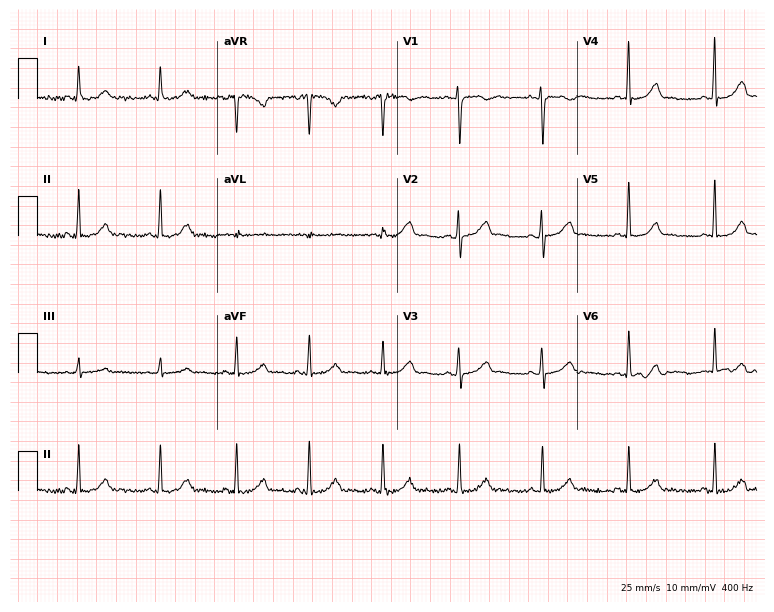
12-lead ECG from a female, 36 years old (7.3-second recording at 400 Hz). Recorded interpretation: within normal limits.